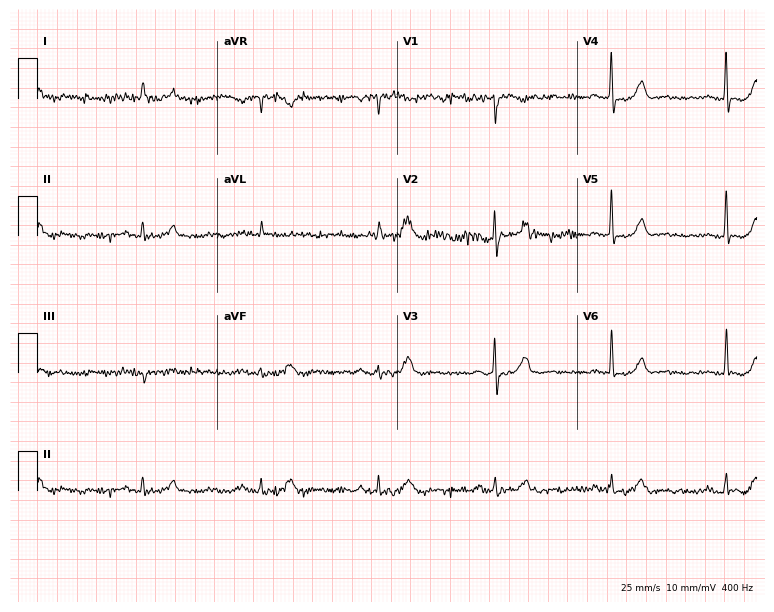
Standard 12-lead ECG recorded from an 85-year-old male (7.3-second recording at 400 Hz). None of these six findings is recorded: first-degree AV block, right bundle branch block (RBBB), left bundle branch block (LBBB), sinus bradycardia, atrial fibrillation (AF), sinus tachycardia. Other findings, if any, are not listed.